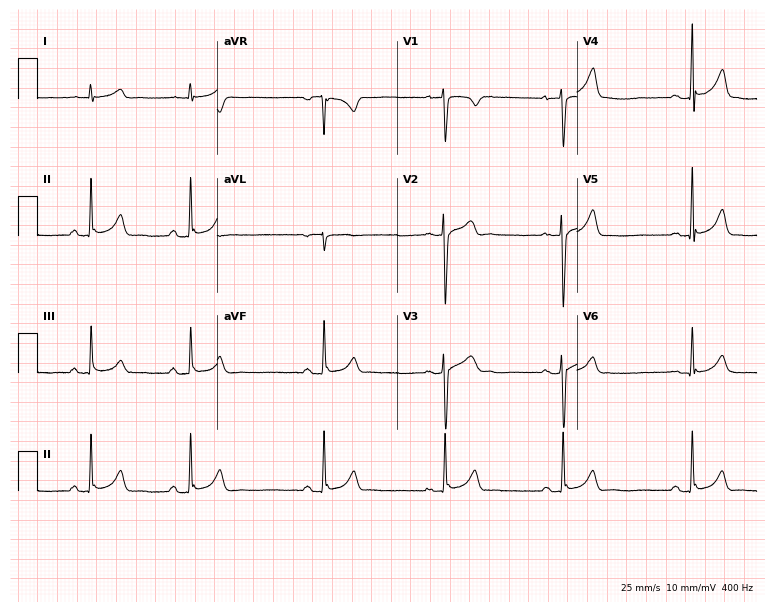
Electrocardiogram (7.3-second recording at 400 Hz), a man, 18 years old. Overall reading on record: normal ECG.